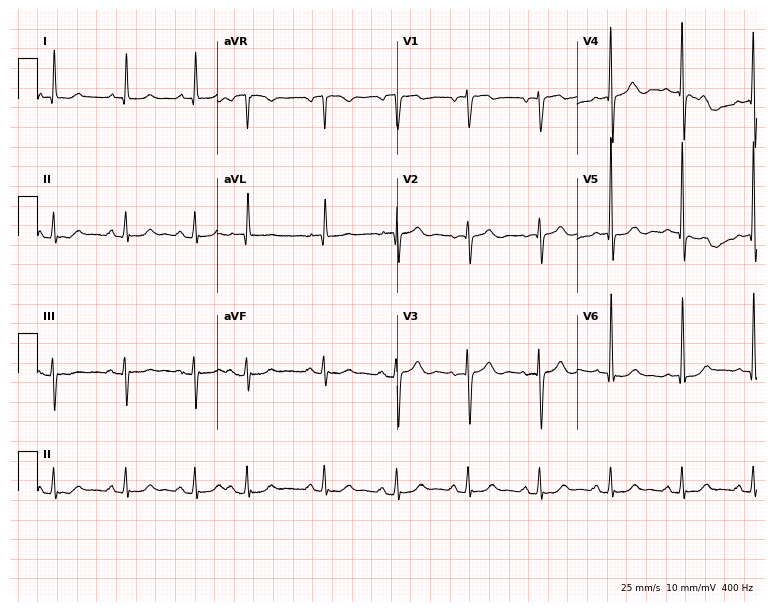
12-lead ECG from a female, 75 years old (7.3-second recording at 400 Hz). No first-degree AV block, right bundle branch block (RBBB), left bundle branch block (LBBB), sinus bradycardia, atrial fibrillation (AF) or sinus tachycardia recorded for this tracing. Findings outside these six are not listed.